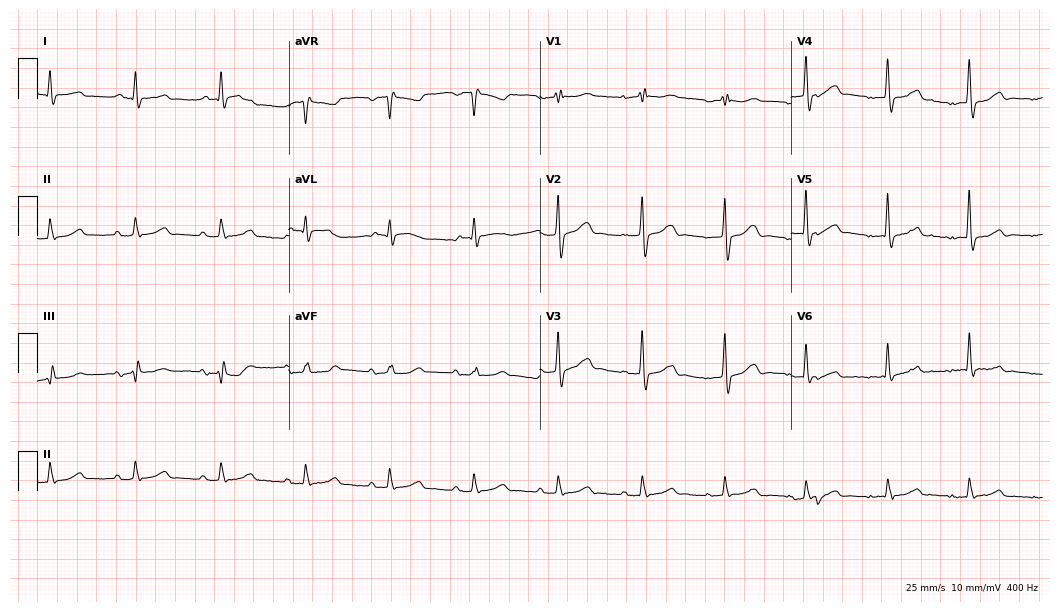
12-lead ECG from a man, 82 years old. Labelled as a normal ECG.